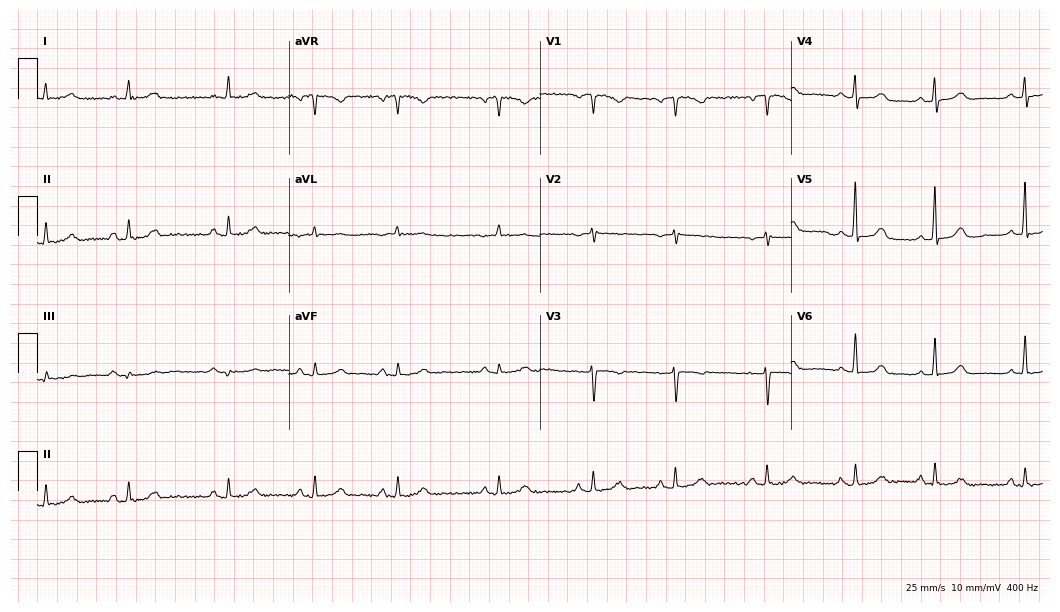
Standard 12-lead ECG recorded from a 48-year-old female (10.2-second recording at 400 Hz). Read as a normal ECG.